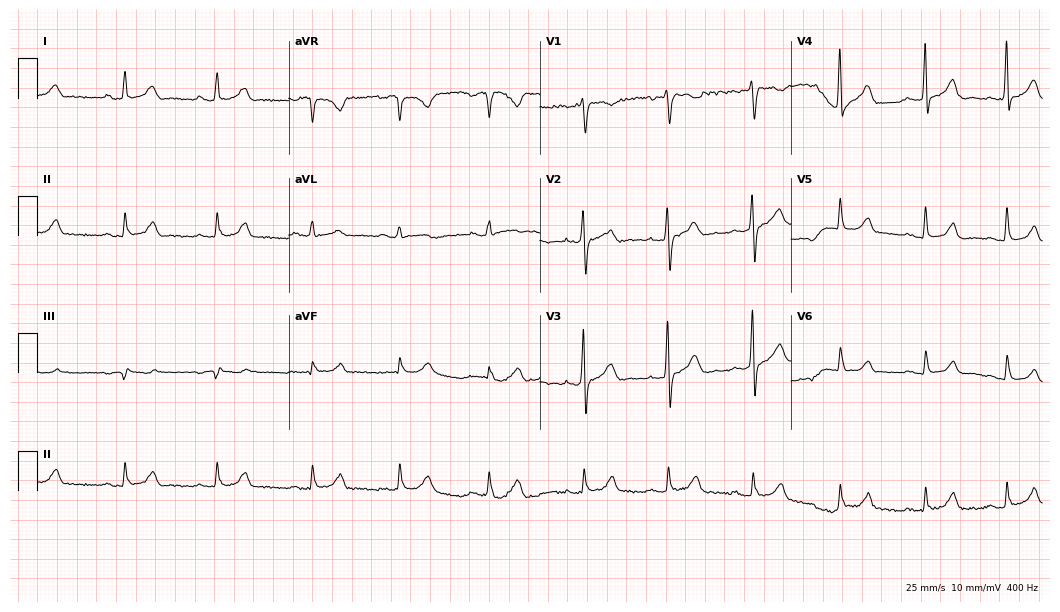
12-lead ECG (10.2-second recording at 400 Hz) from a female patient, 35 years old. Screened for six findings — first-degree AV block, right bundle branch block, left bundle branch block, sinus bradycardia, atrial fibrillation, sinus tachycardia — none is recorded.